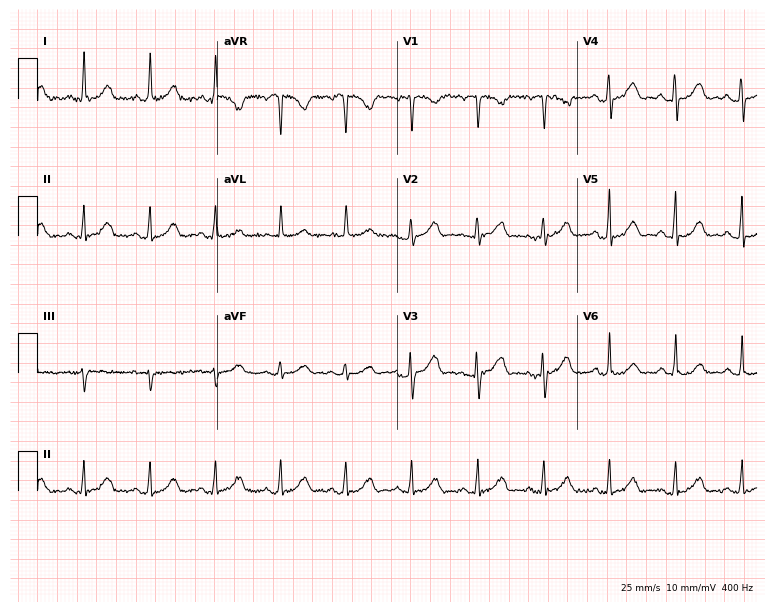
Resting 12-lead electrocardiogram (7.3-second recording at 400 Hz). Patient: a female, 66 years old. Read as a normal ECG.